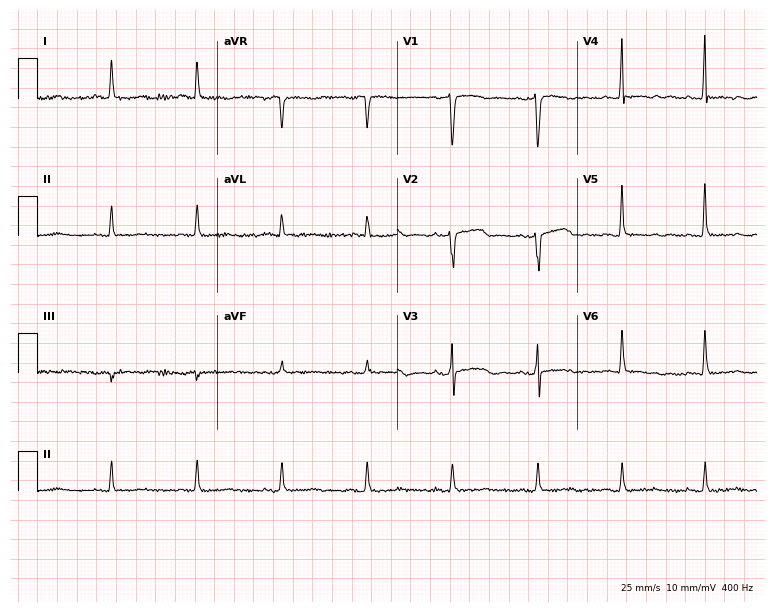
Electrocardiogram (7.3-second recording at 400 Hz), a woman, 66 years old. Of the six screened findings (first-degree AV block, right bundle branch block, left bundle branch block, sinus bradycardia, atrial fibrillation, sinus tachycardia), none is recorded.